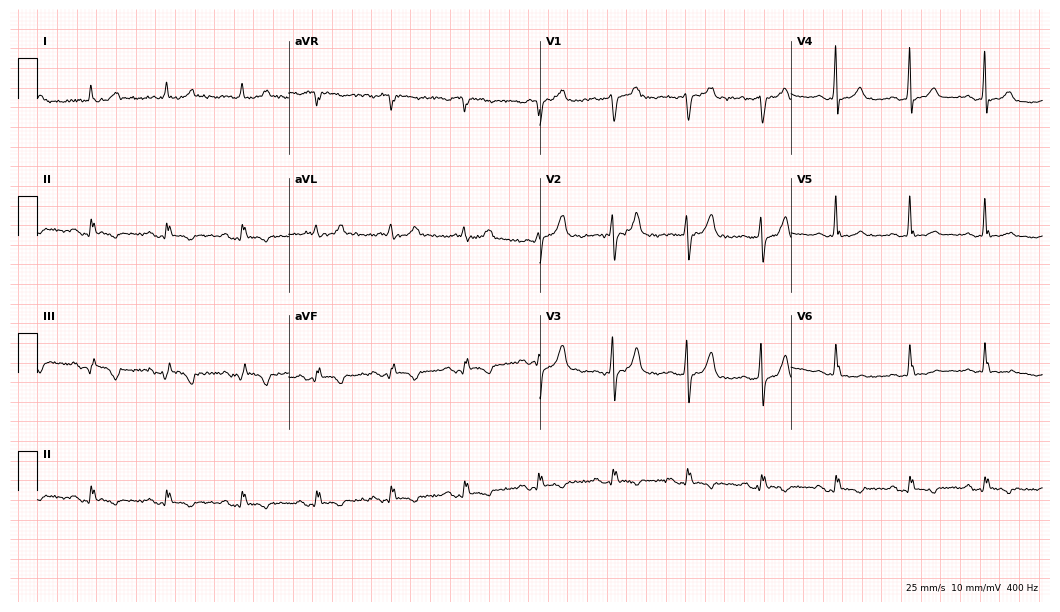
Standard 12-lead ECG recorded from a woman, 68 years old. None of these six findings is recorded: first-degree AV block, right bundle branch block (RBBB), left bundle branch block (LBBB), sinus bradycardia, atrial fibrillation (AF), sinus tachycardia. Other findings, if any, are not listed.